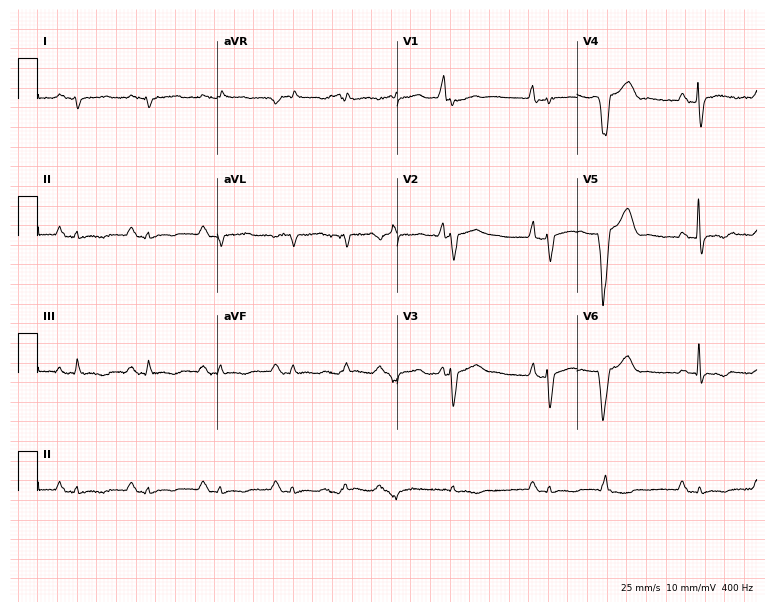
Standard 12-lead ECG recorded from a man, 27 years old (7.3-second recording at 400 Hz). None of these six findings is recorded: first-degree AV block, right bundle branch block (RBBB), left bundle branch block (LBBB), sinus bradycardia, atrial fibrillation (AF), sinus tachycardia. Findings outside these six are not listed.